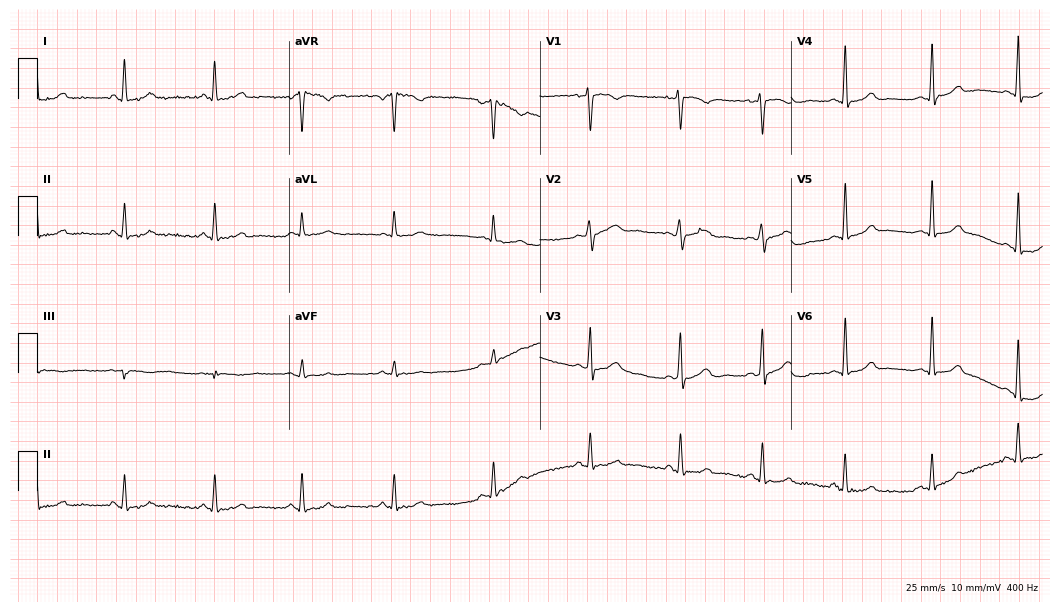
12-lead ECG from a female, 49 years old. Labelled as a normal ECG.